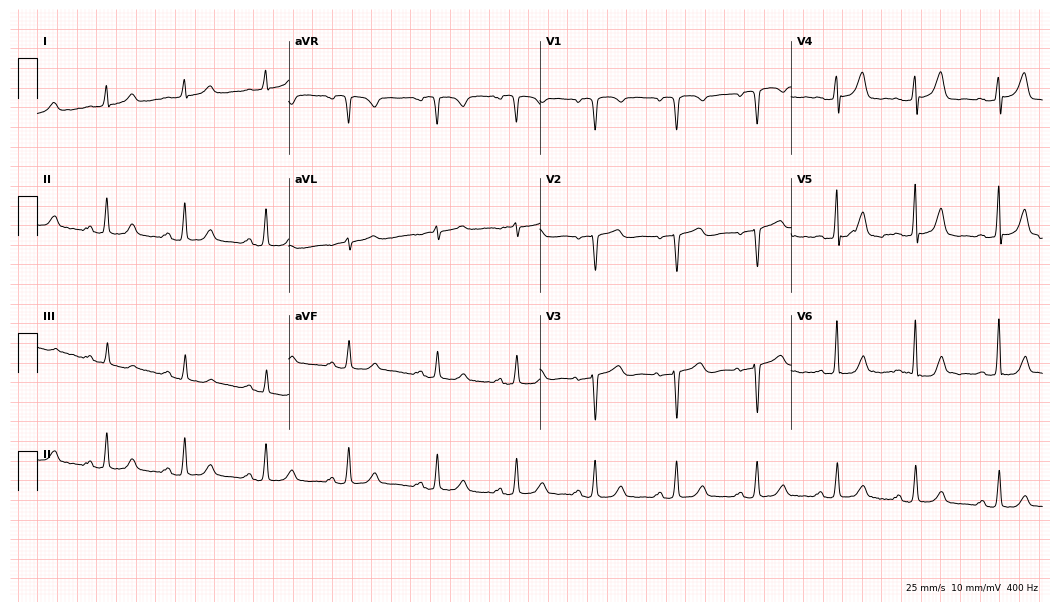
12-lead ECG from a 67-year-old woman (10.2-second recording at 400 Hz). Recorded interpretation: within normal limits.